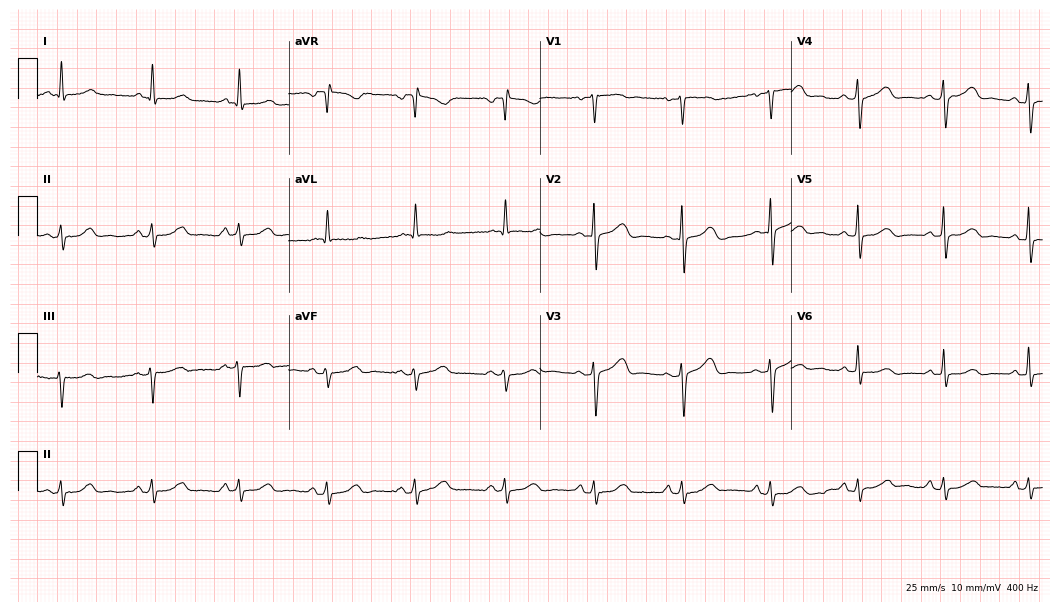
12-lead ECG from a woman, 60 years old. Recorded interpretation: within normal limits.